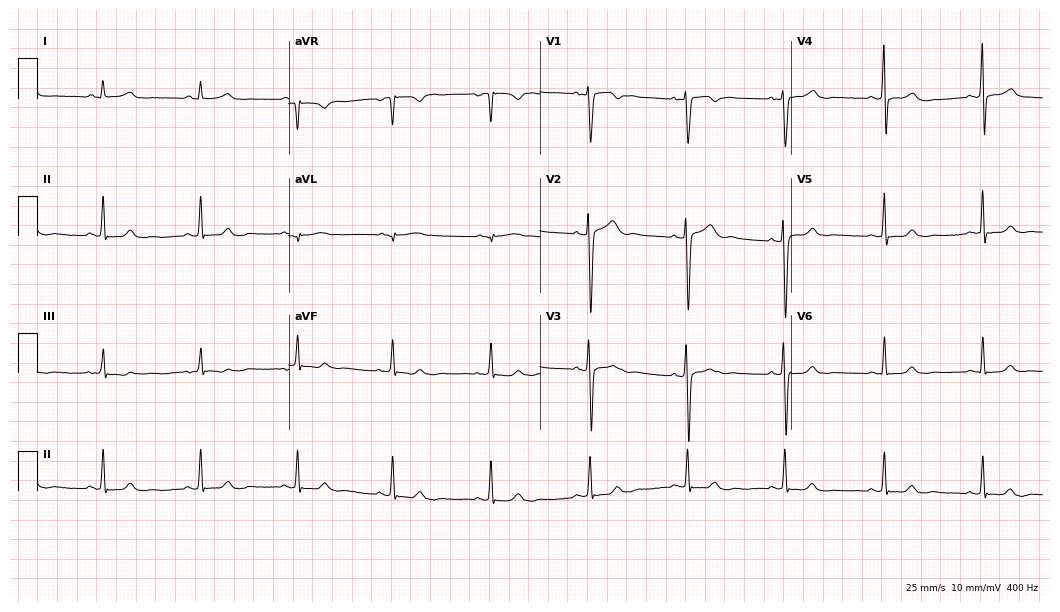
Electrocardiogram, a 22-year-old woman. Of the six screened findings (first-degree AV block, right bundle branch block (RBBB), left bundle branch block (LBBB), sinus bradycardia, atrial fibrillation (AF), sinus tachycardia), none is recorded.